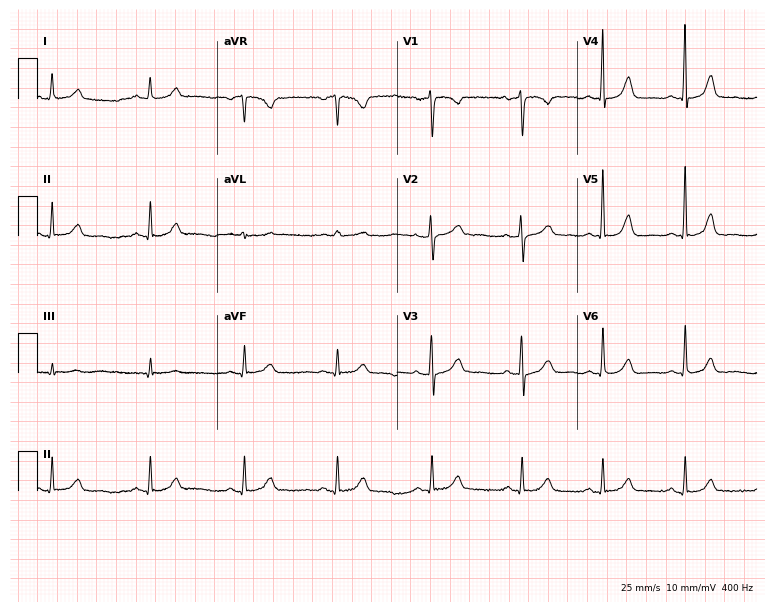
12-lead ECG from a female patient, 54 years old (7.3-second recording at 400 Hz). No first-degree AV block, right bundle branch block, left bundle branch block, sinus bradycardia, atrial fibrillation or sinus tachycardia recorded for this tracing.